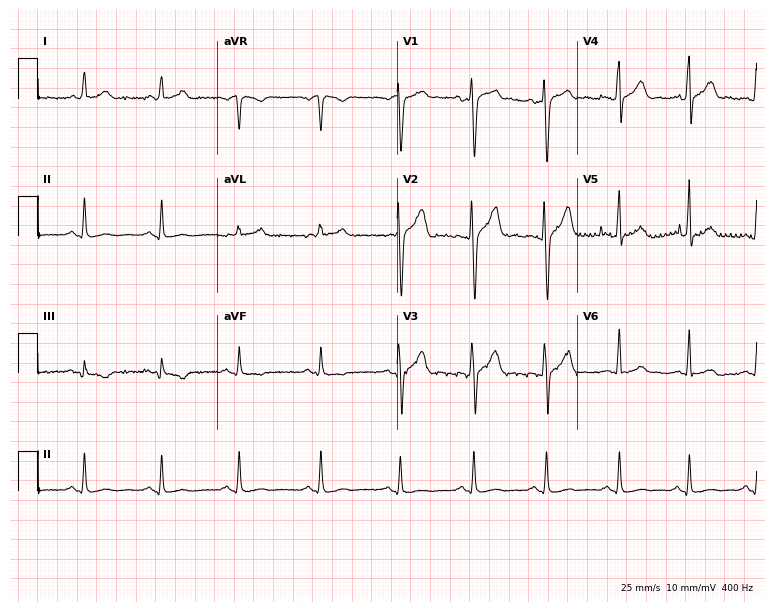
12-lead ECG from a man, 23 years old (7.3-second recording at 400 Hz). No first-degree AV block, right bundle branch block (RBBB), left bundle branch block (LBBB), sinus bradycardia, atrial fibrillation (AF) or sinus tachycardia recorded for this tracing. Other findings, if any, are not listed.